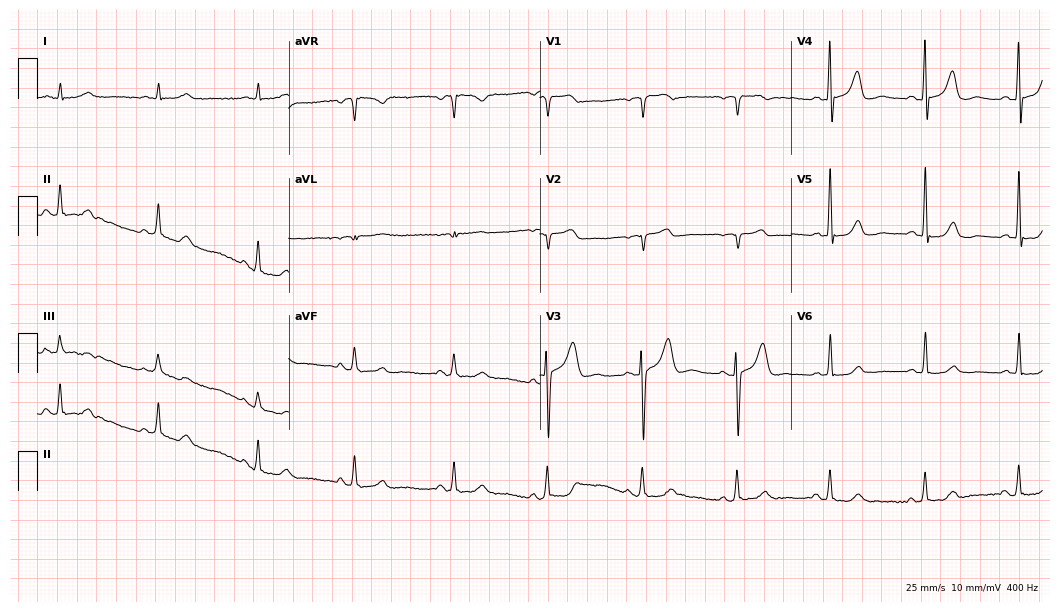
ECG — a male patient, 66 years old. Screened for six findings — first-degree AV block, right bundle branch block (RBBB), left bundle branch block (LBBB), sinus bradycardia, atrial fibrillation (AF), sinus tachycardia — none is recorded.